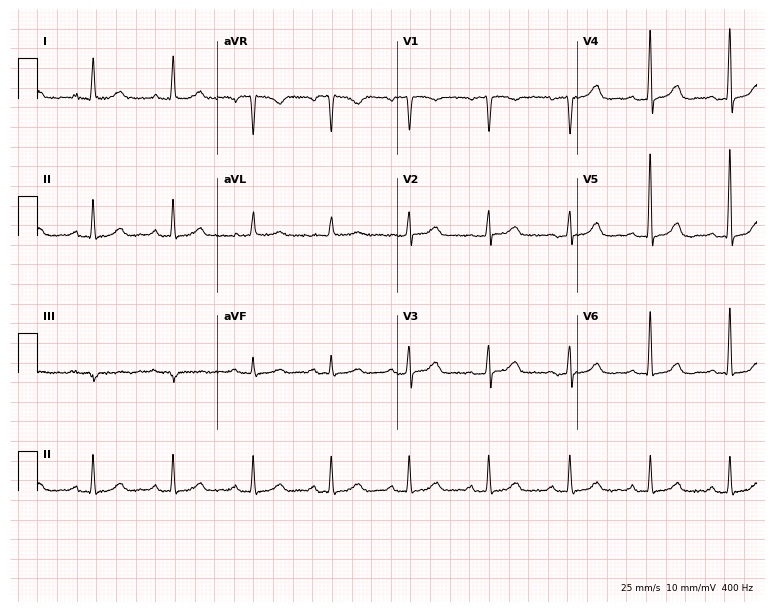
ECG (7.3-second recording at 400 Hz) — a 65-year-old female. Labelled as a normal ECG.